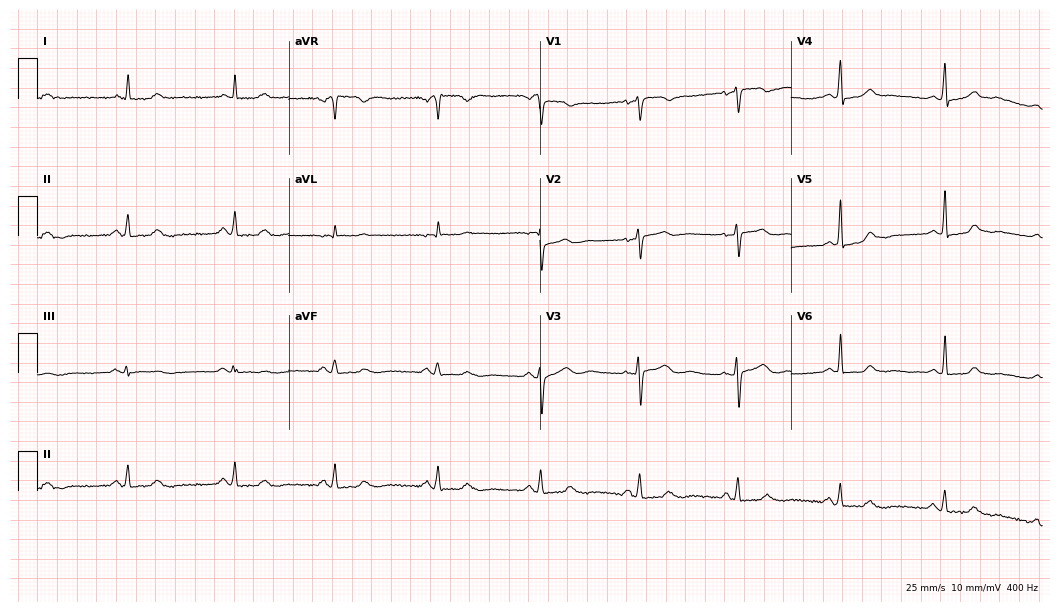
Standard 12-lead ECG recorded from a female patient, 58 years old. Read as a normal ECG.